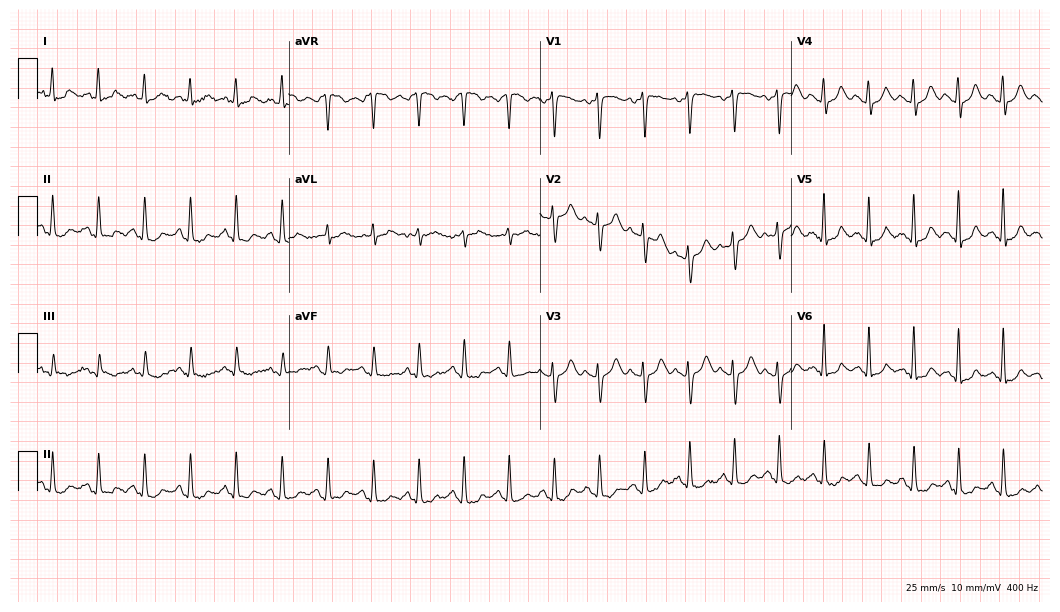
Standard 12-lead ECG recorded from a female, 59 years old (10.2-second recording at 400 Hz). The tracing shows sinus tachycardia (a sinus rate of 100 beats per minute or more).